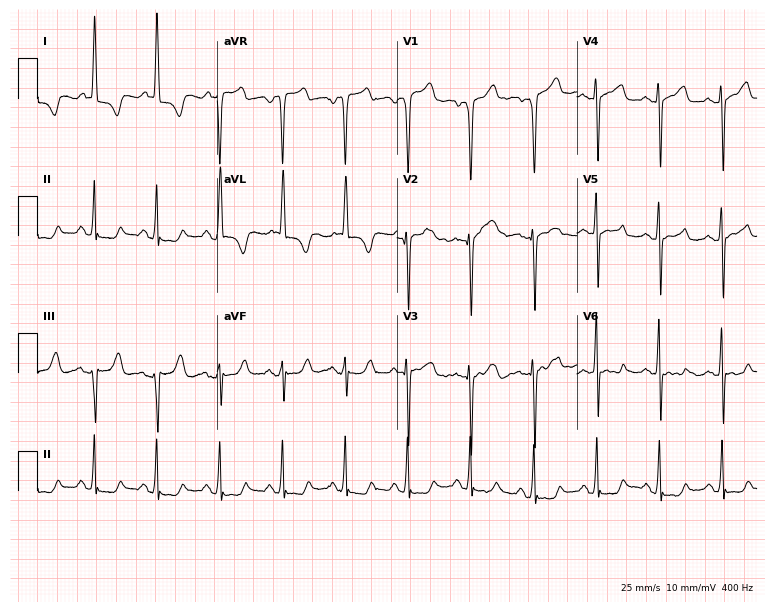
12-lead ECG from a 50-year-old female patient (7.3-second recording at 400 Hz). No first-degree AV block, right bundle branch block, left bundle branch block, sinus bradycardia, atrial fibrillation or sinus tachycardia recorded for this tracing.